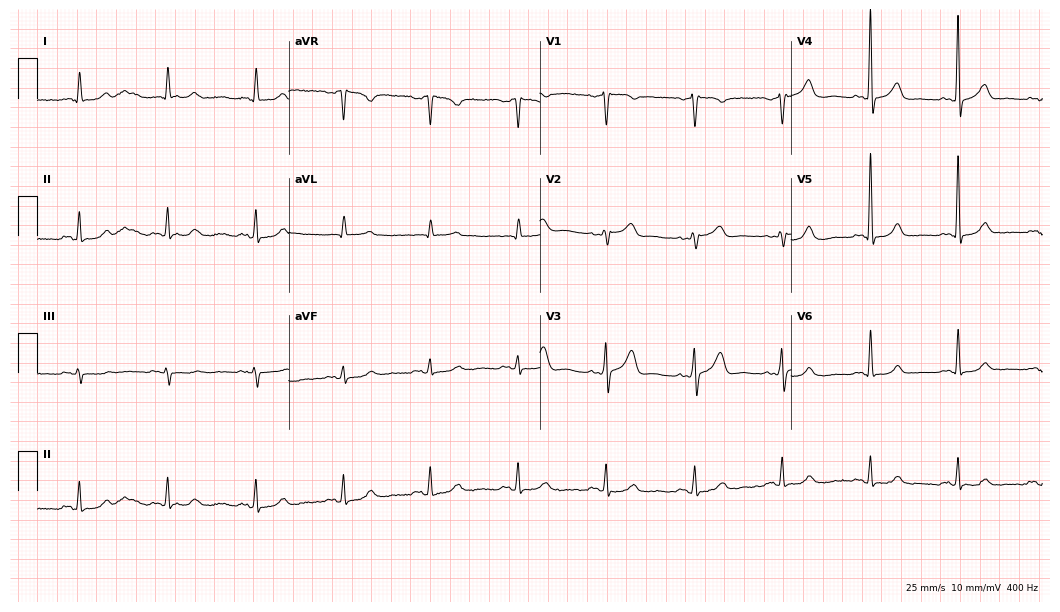
Standard 12-lead ECG recorded from a man, 70 years old (10.2-second recording at 400 Hz). Read as a normal ECG.